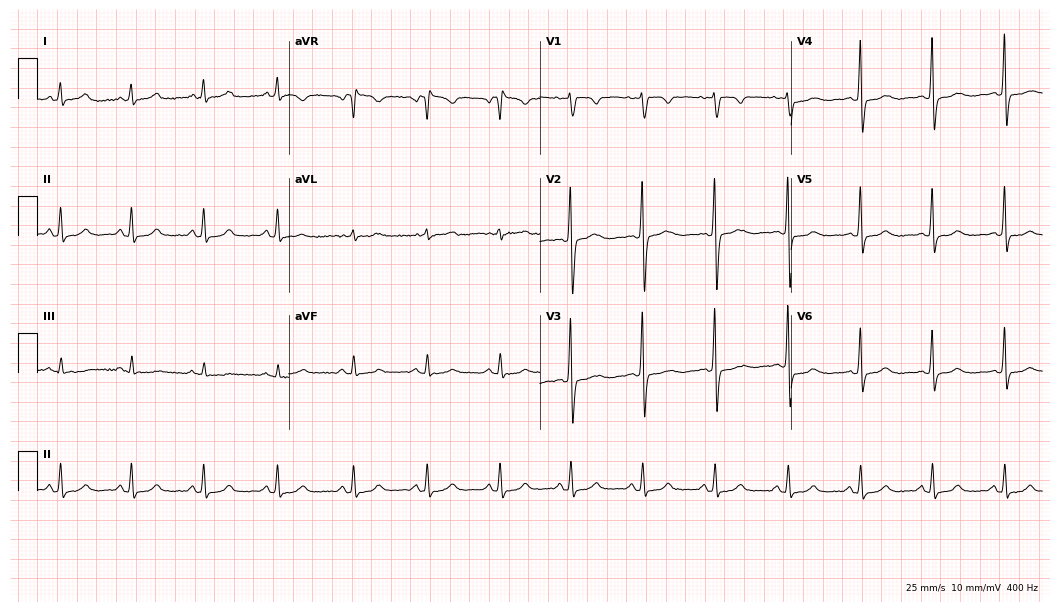
12-lead ECG from a female patient, 32 years old (10.2-second recording at 400 Hz). Recorded interpretation: within normal limits.